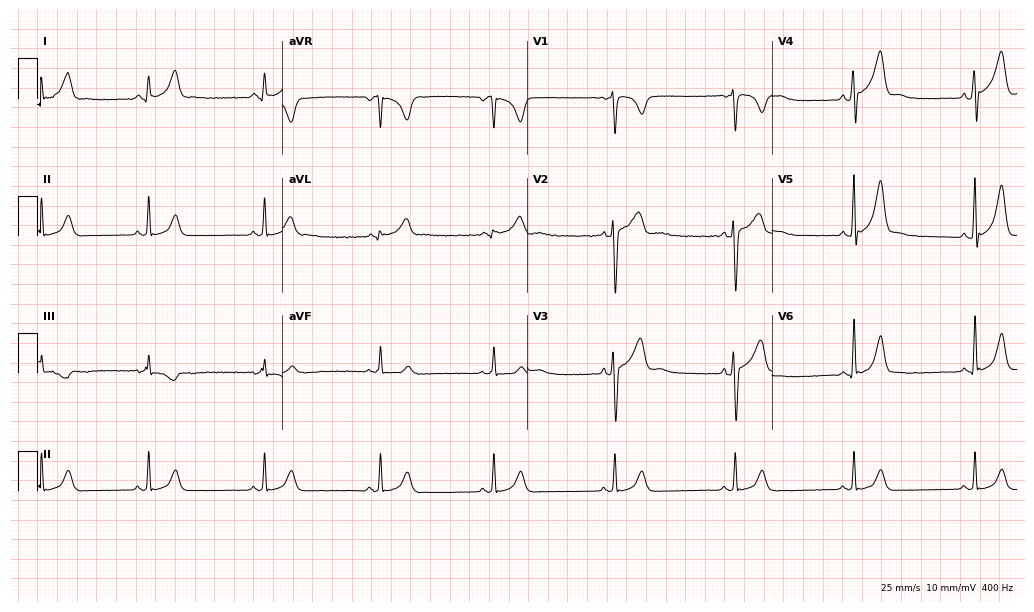
Electrocardiogram (10-second recording at 400 Hz), a male, 30 years old. Overall reading on record: normal ECG.